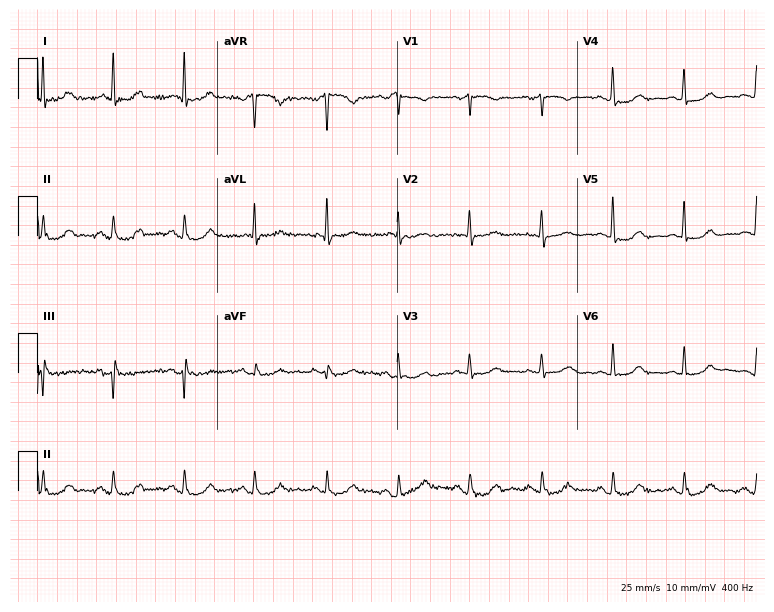
Resting 12-lead electrocardiogram. Patient: a 78-year-old female. Read as a normal ECG.